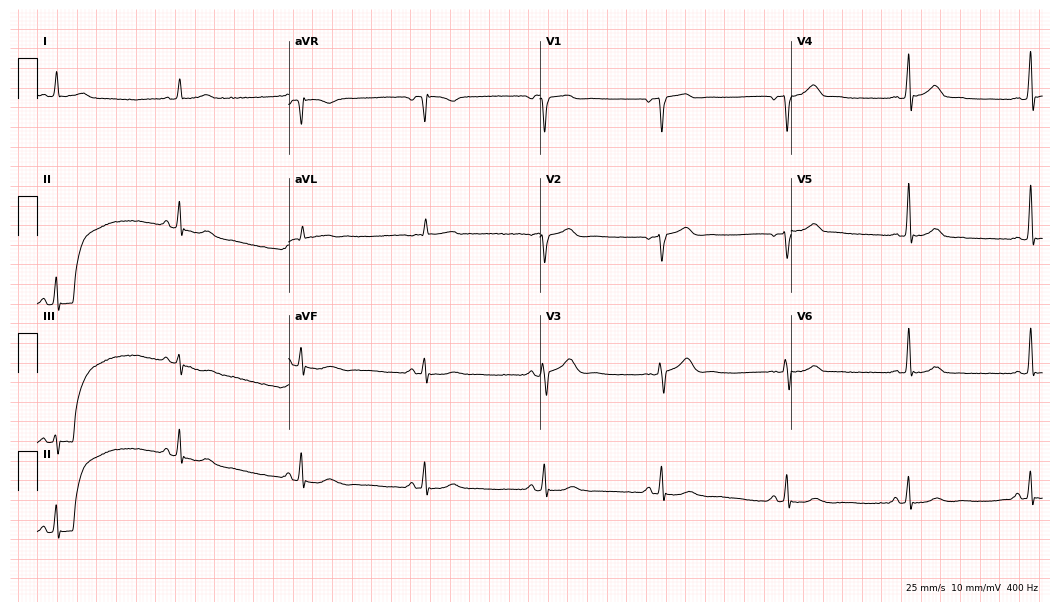
ECG (10.2-second recording at 400 Hz) — a 60-year-old male. Findings include sinus bradycardia (a sinus rate of 50 beats per minute or less).